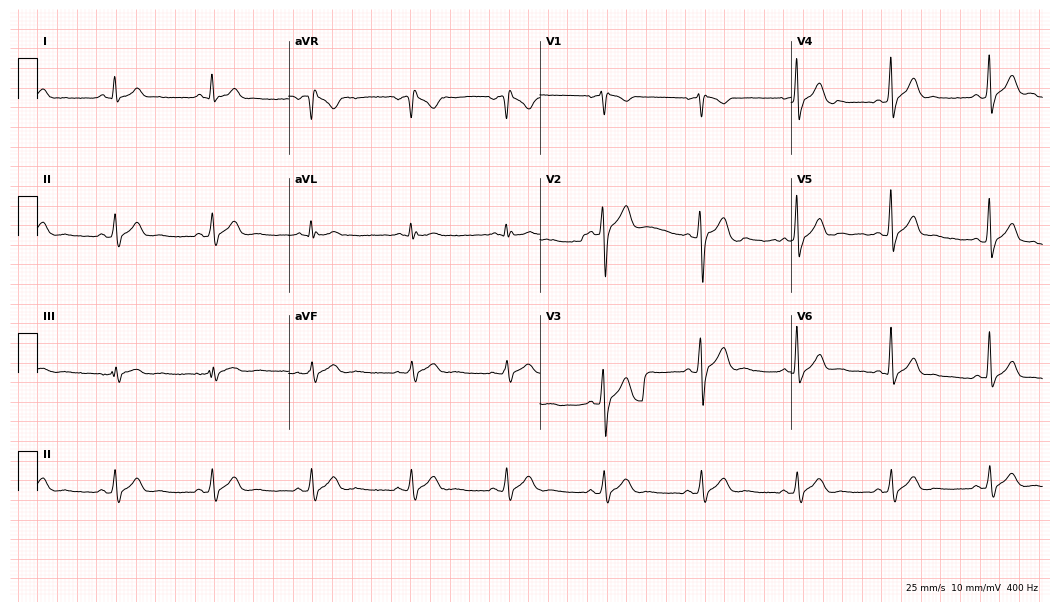
Resting 12-lead electrocardiogram (10.2-second recording at 400 Hz). Patient: a 34-year-old man. None of these six findings is recorded: first-degree AV block, right bundle branch block, left bundle branch block, sinus bradycardia, atrial fibrillation, sinus tachycardia.